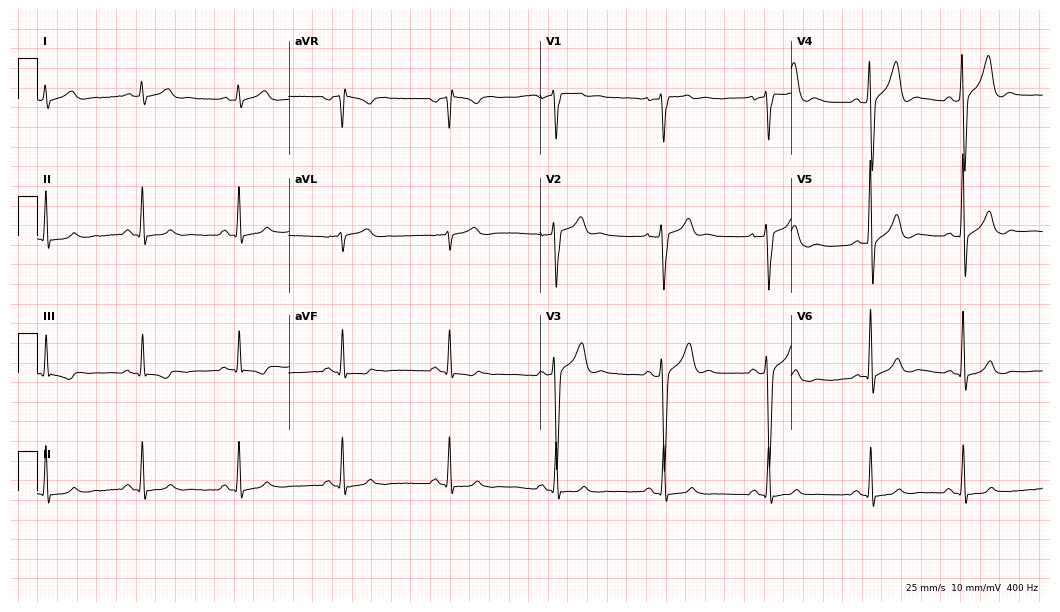
Standard 12-lead ECG recorded from a 34-year-old male patient (10.2-second recording at 400 Hz). Read as a normal ECG.